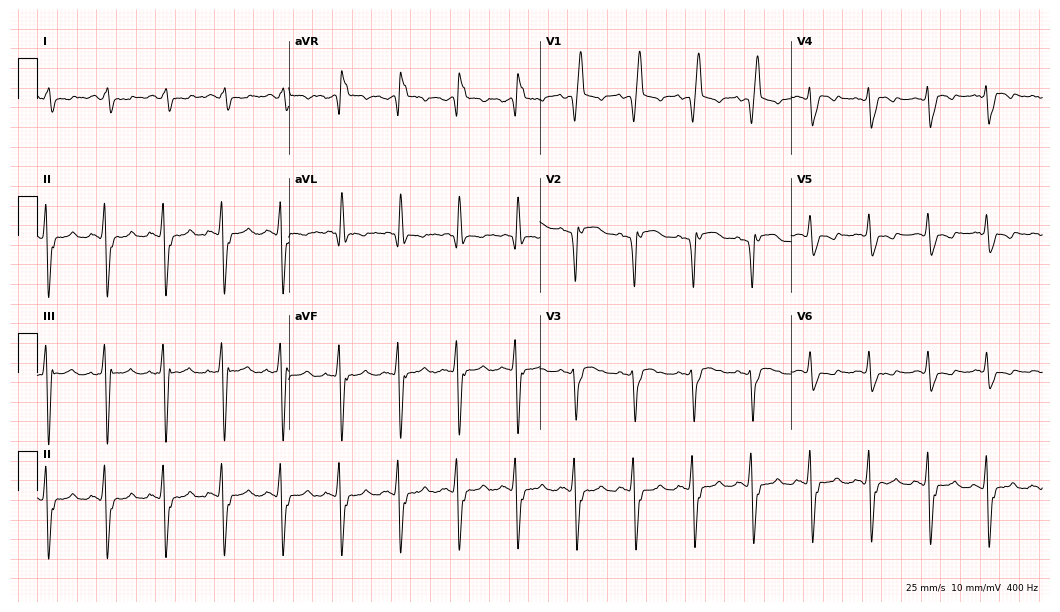
12-lead ECG from a 56-year-old male. Shows right bundle branch block.